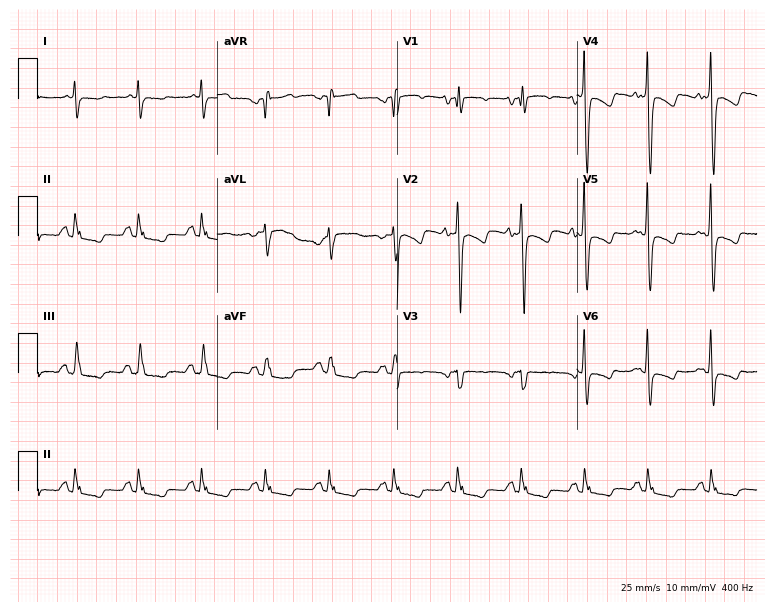
Electrocardiogram (7.3-second recording at 400 Hz), a 56-year-old man. Of the six screened findings (first-degree AV block, right bundle branch block (RBBB), left bundle branch block (LBBB), sinus bradycardia, atrial fibrillation (AF), sinus tachycardia), none is recorded. Other findings, if any, are not listed.